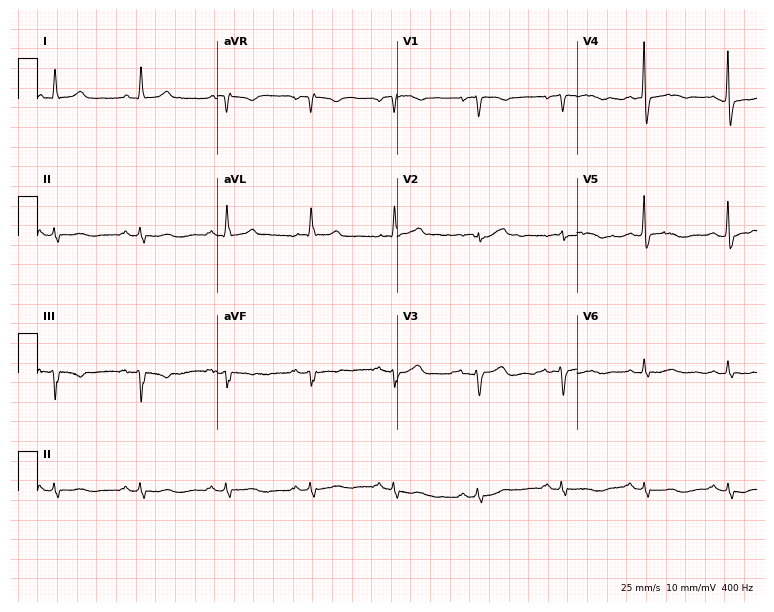
Electrocardiogram, a woman, 72 years old. Of the six screened findings (first-degree AV block, right bundle branch block (RBBB), left bundle branch block (LBBB), sinus bradycardia, atrial fibrillation (AF), sinus tachycardia), none is recorded. Only these six findings were labelled.